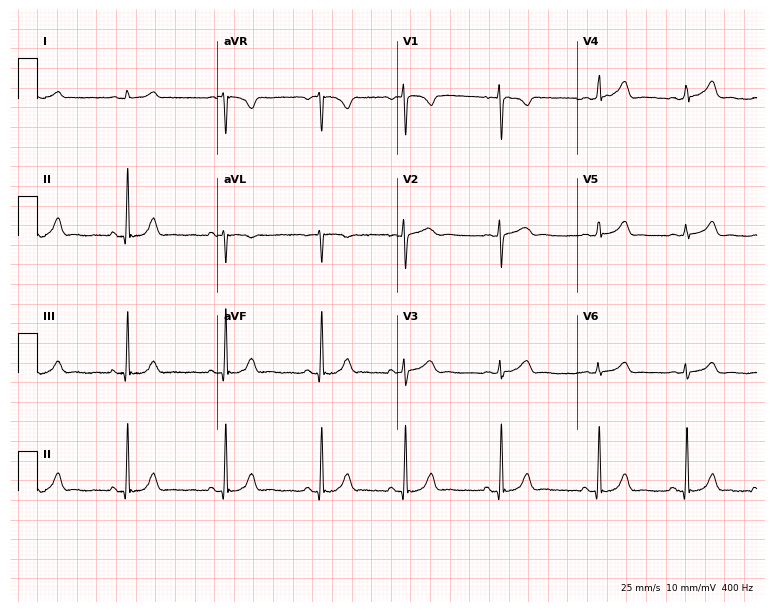
Resting 12-lead electrocardiogram (7.3-second recording at 400 Hz). Patient: a female, 19 years old. Read as a normal ECG.